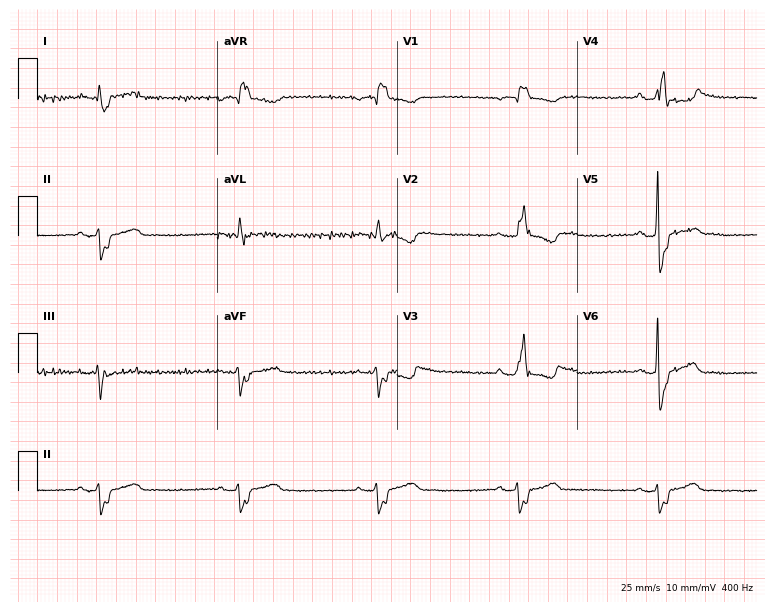
Electrocardiogram (7.3-second recording at 400 Hz), a female, 77 years old. Interpretation includes first-degree AV block, right bundle branch block, sinus bradycardia (a sinus rate of 50 beats per minute or less).